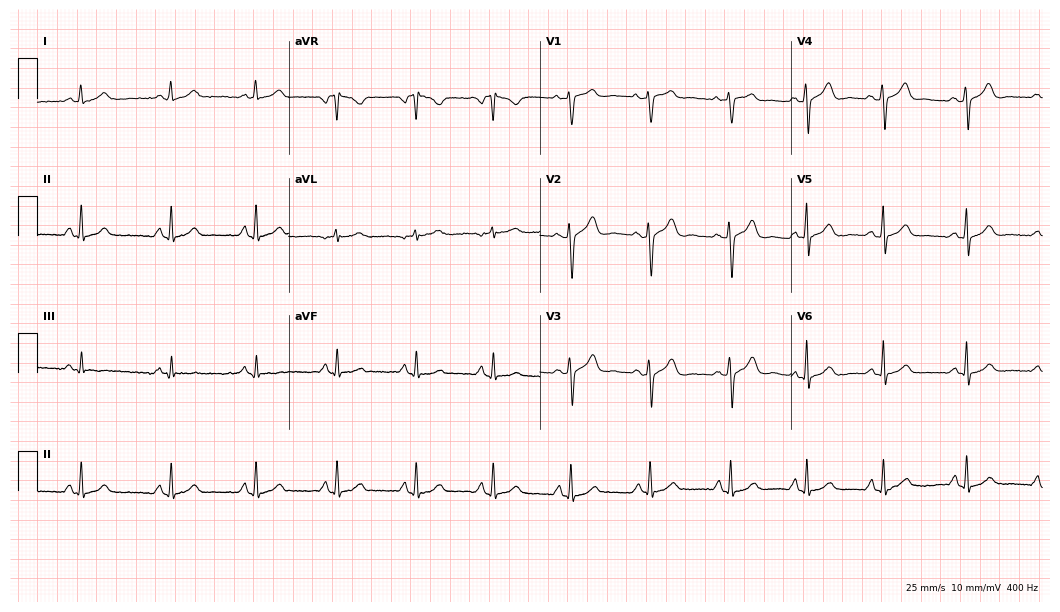
Resting 12-lead electrocardiogram. Patient: a woman, 46 years old. Read as a normal ECG.